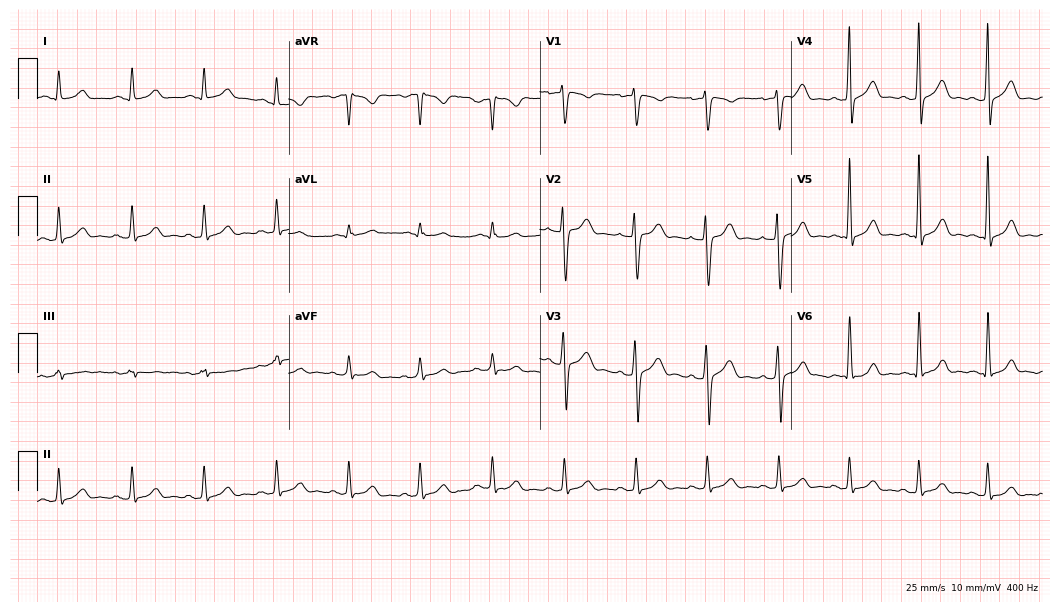
Standard 12-lead ECG recorded from a 26-year-old male patient (10.2-second recording at 400 Hz). None of these six findings is recorded: first-degree AV block, right bundle branch block (RBBB), left bundle branch block (LBBB), sinus bradycardia, atrial fibrillation (AF), sinus tachycardia.